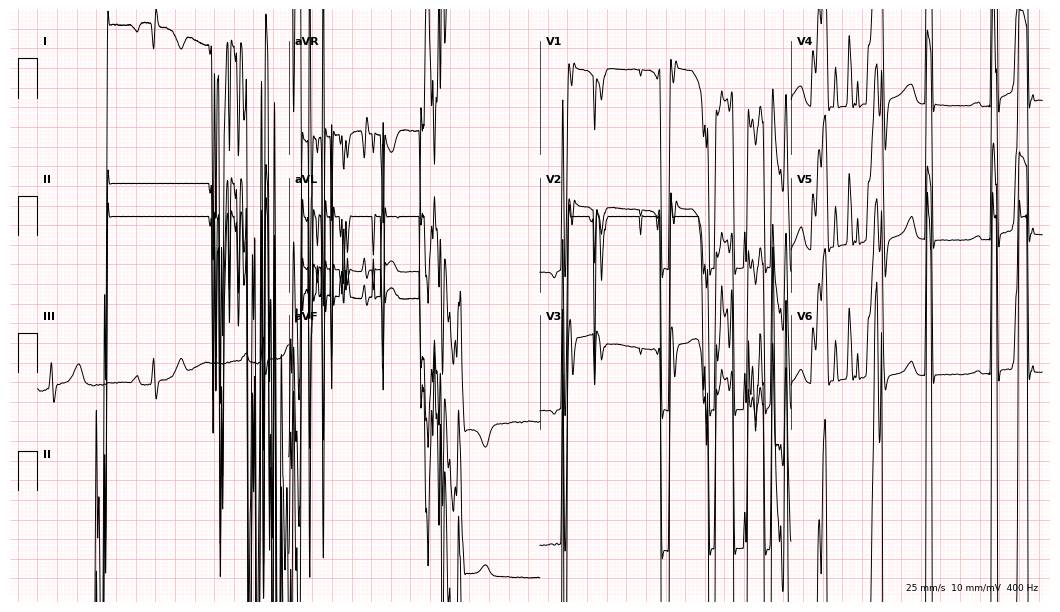
12-lead ECG from a 52-year-old female patient. Screened for six findings — first-degree AV block, right bundle branch block, left bundle branch block, sinus bradycardia, atrial fibrillation, sinus tachycardia — none is recorded.